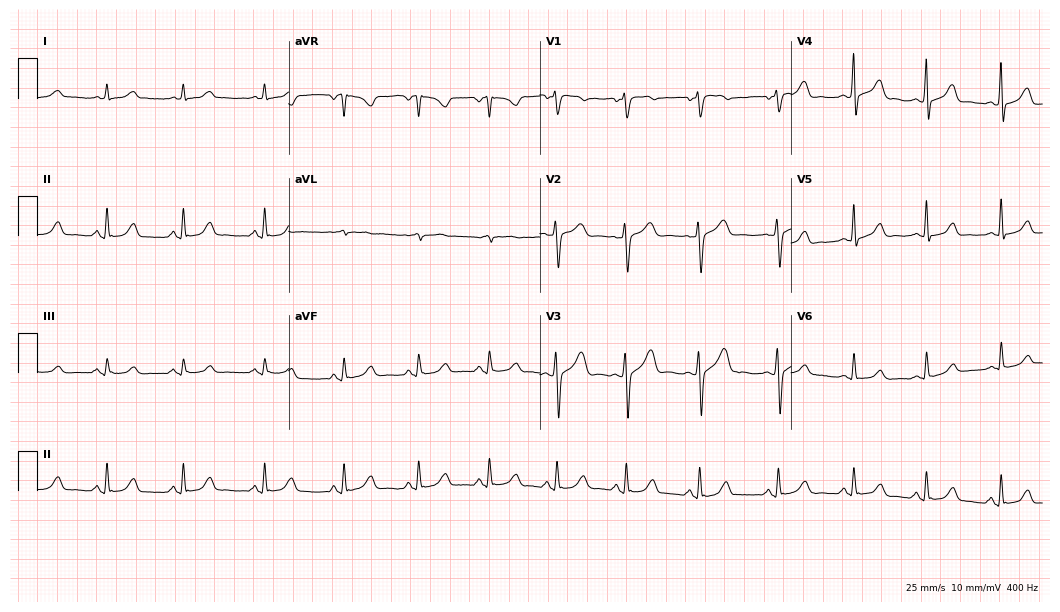
12-lead ECG from a 40-year-old male patient. Labelled as a normal ECG.